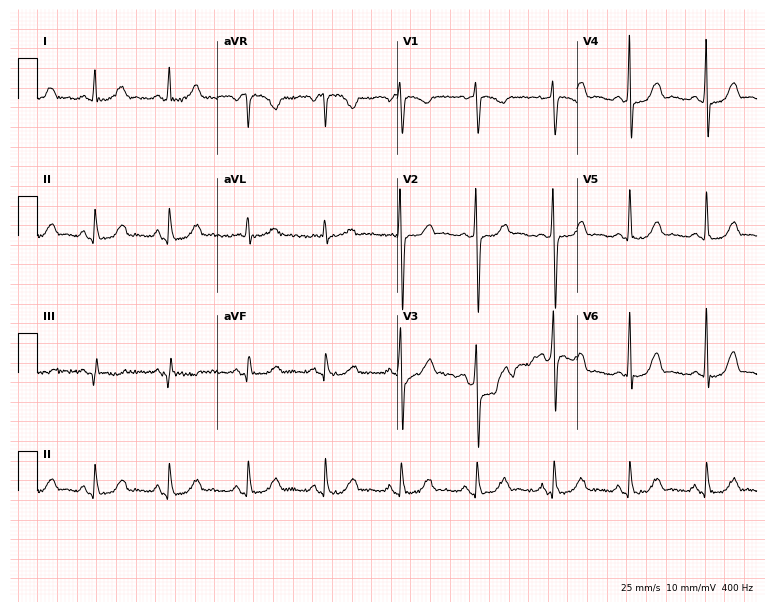
12-lead ECG from a 39-year-old female (7.3-second recording at 400 Hz). Recorded interpretation: within normal limits.